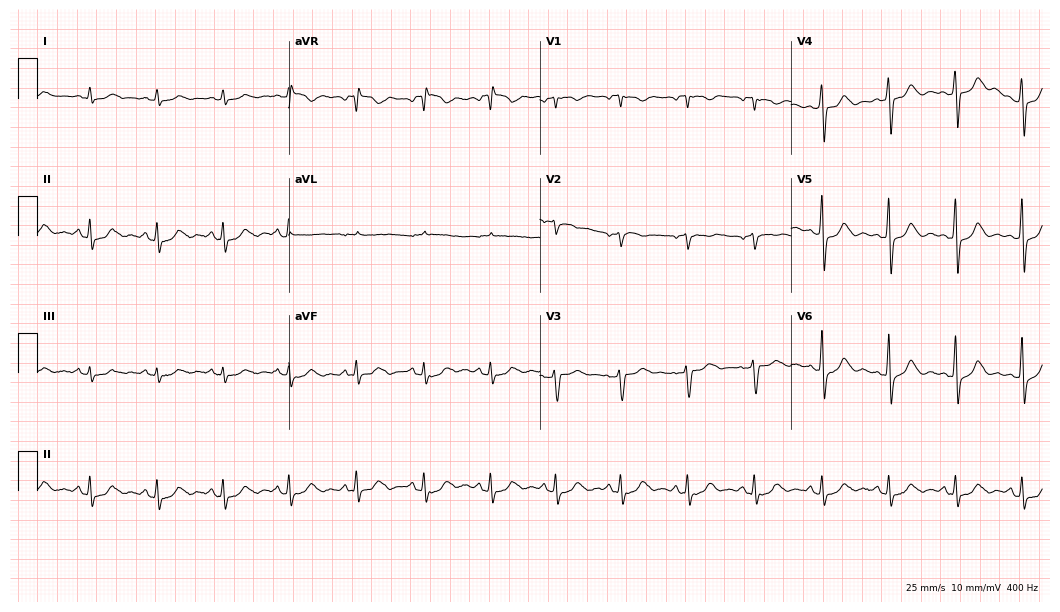
Standard 12-lead ECG recorded from a 52-year-old female patient (10.2-second recording at 400 Hz). Read as a normal ECG.